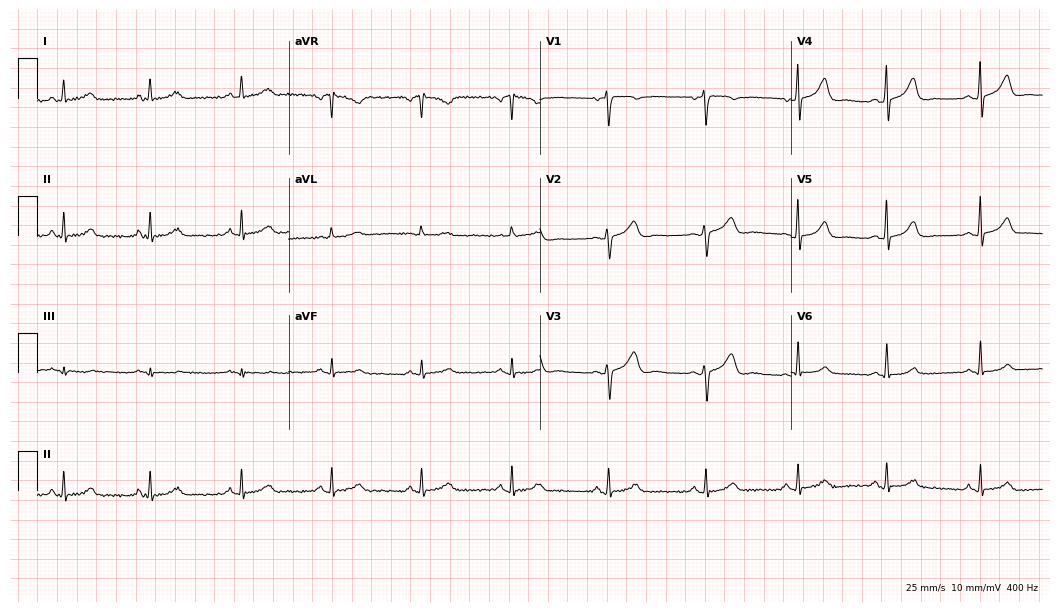
12-lead ECG from a 39-year-old female patient. Recorded interpretation: within normal limits.